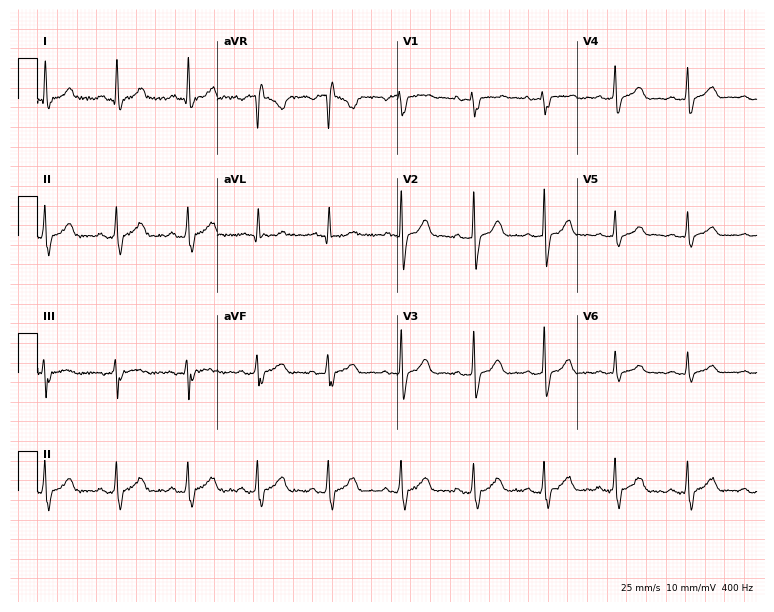
ECG (7.3-second recording at 400 Hz) — a 39-year-old female. Labelled as a normal ECG.